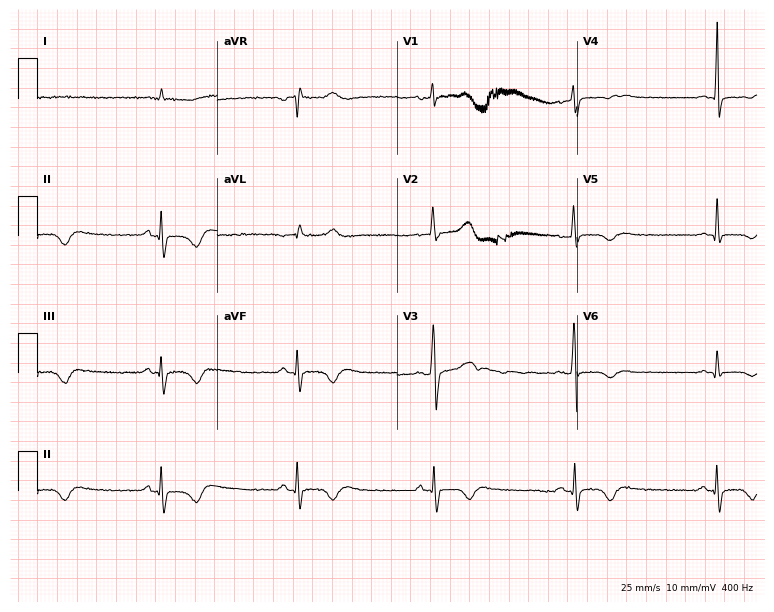
12-lead ECG from a male patient, 42 years old. No first-degree AV block, right bundle branch block, left bundle branch block, sinus bradycardia, atrial fibrillation or sinus tachycardia recorded for this tracing.